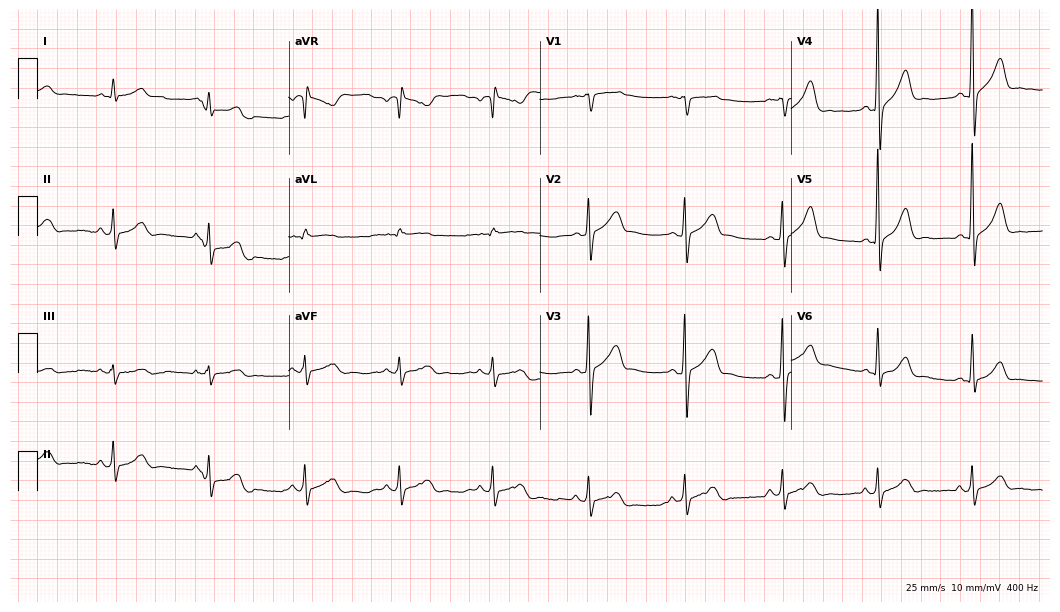
Standard 12-lead ECG recorded from a male patient, 51 years old (10.2-second recording at 400 Hz). Read as a normal ECG.